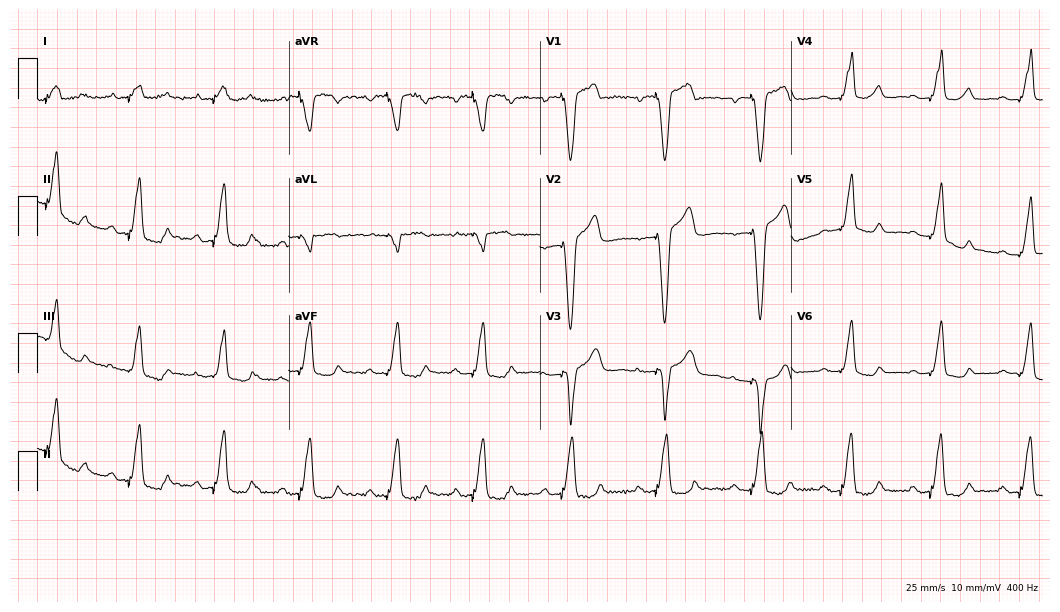
12-lead ECG from a 75-year-old female patient. No first-degree AV block, right bundle branch block, left bundle branch block, sinus bradycardia, atrial fibrillation or sinus tachycardia recorded for this tracing. Findings outside these six are not listed.